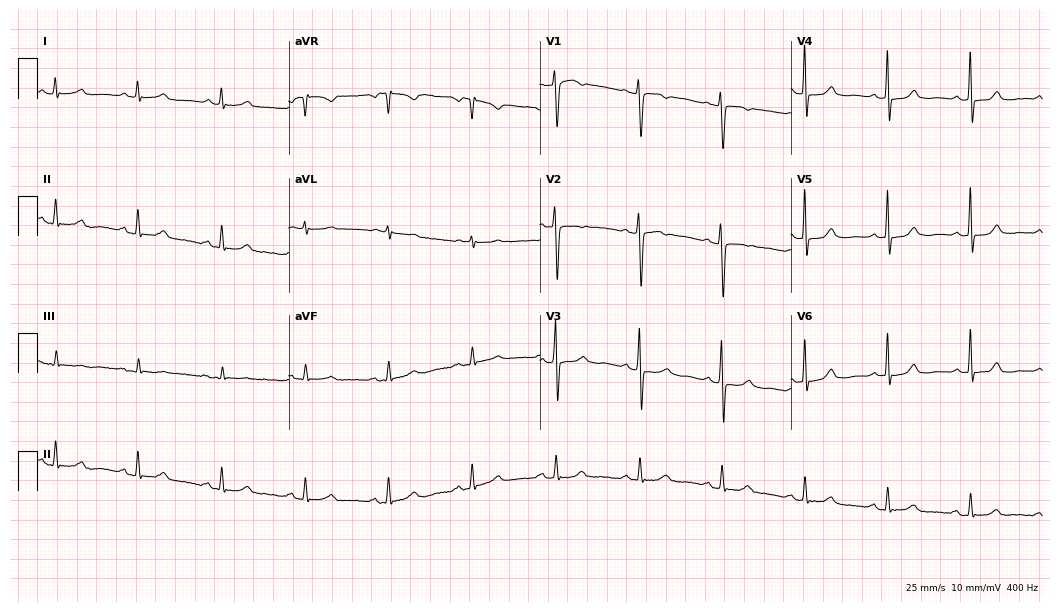
Standard 12-lead ECG recorded from a 50-year-old woman (10.2-second recording at 400 Hz). None of these six findings is recorded: first-degree AV block, right bundle branch block, left bundle branch block, sinus bradycardia, atrial fibrillation, sinus tachycardia. Findings outside these six are not listed.